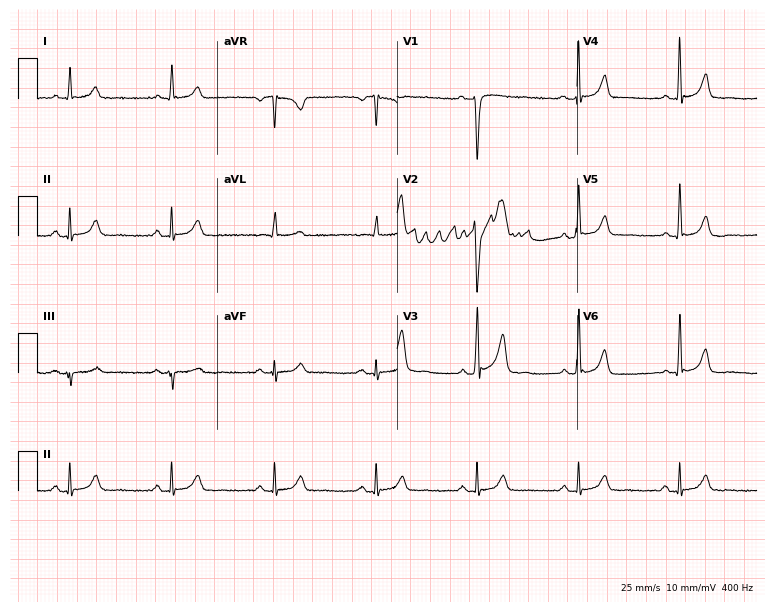
Electrocardiogram, a 63-year-old male patient. Overall reading on record: normal ECG.